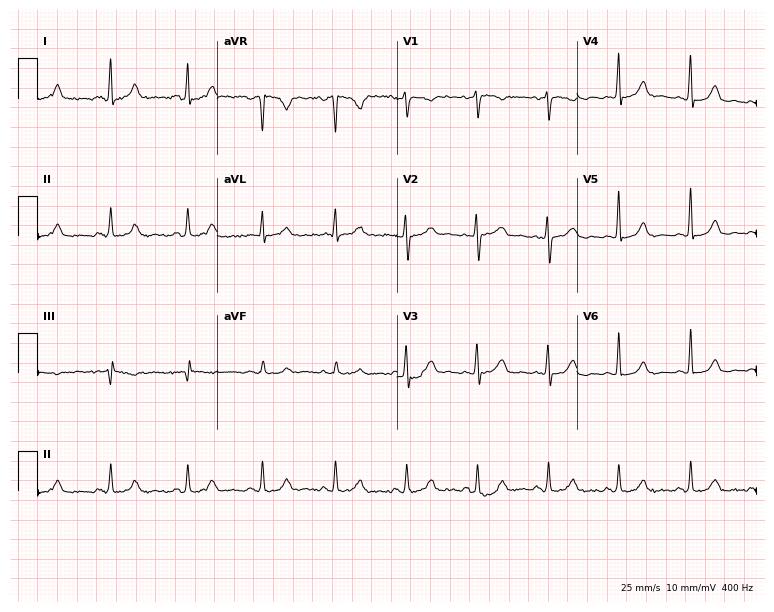
Standard 12-lead ECG recorded from a 41-year-old female patient (7.3-second recording at 400 Hz). None of these six findings is recorded: first-degree AV block, right bundle branch block, left bundle branch block, sinus bradycardia, atrial fibrillation, sinus tachycardia.